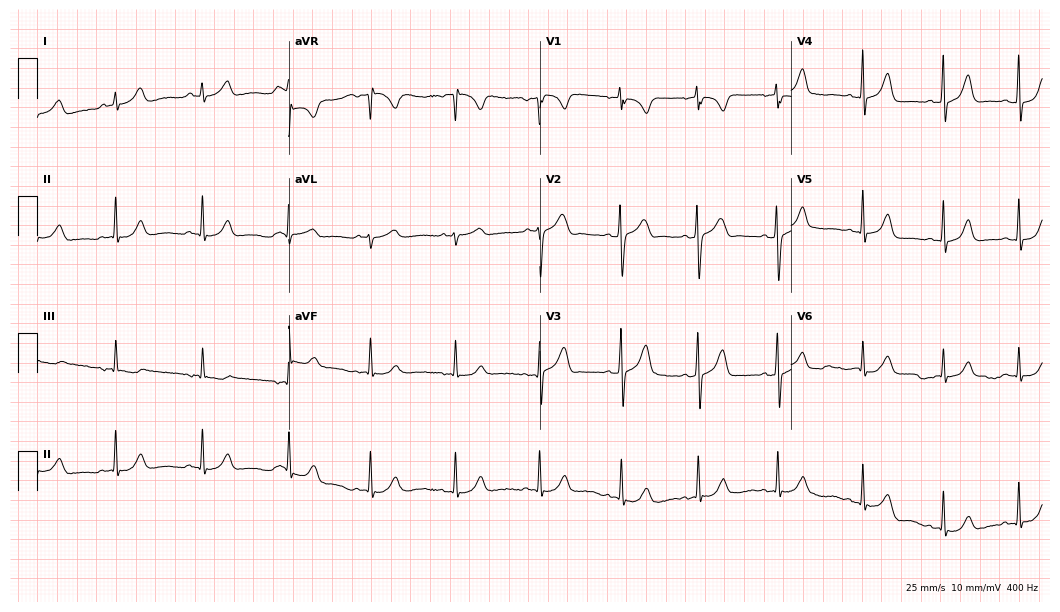
ECG — a man, 23 years old. Labelled as a normal ECG.